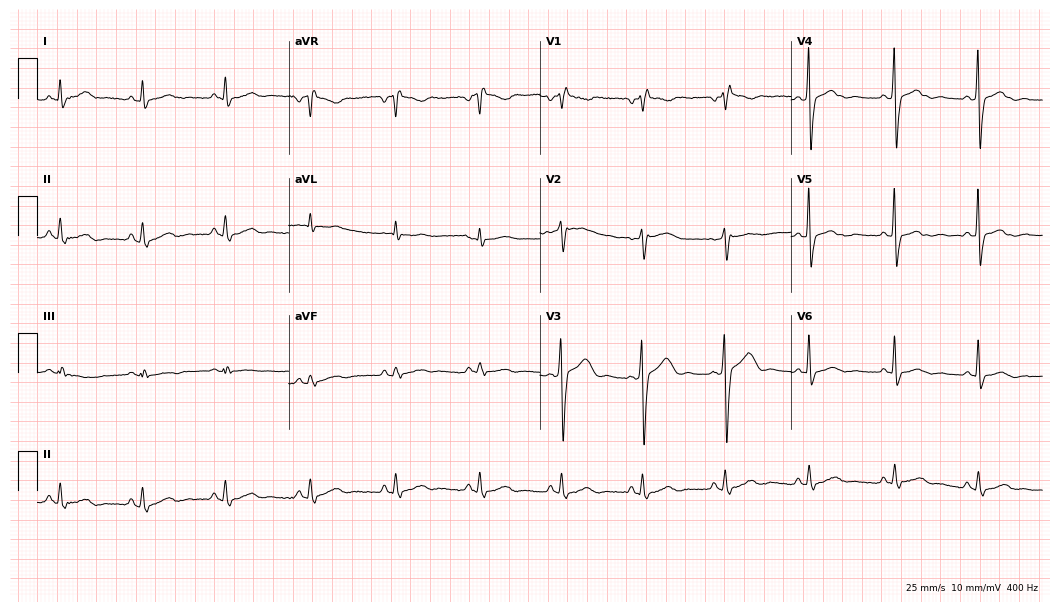
Resting 12-lead electrocardiogram (10.2-second recording at 400 Hz). Patient: a 62-year-old male. The tracing shows right bundle branch block (RBBB).